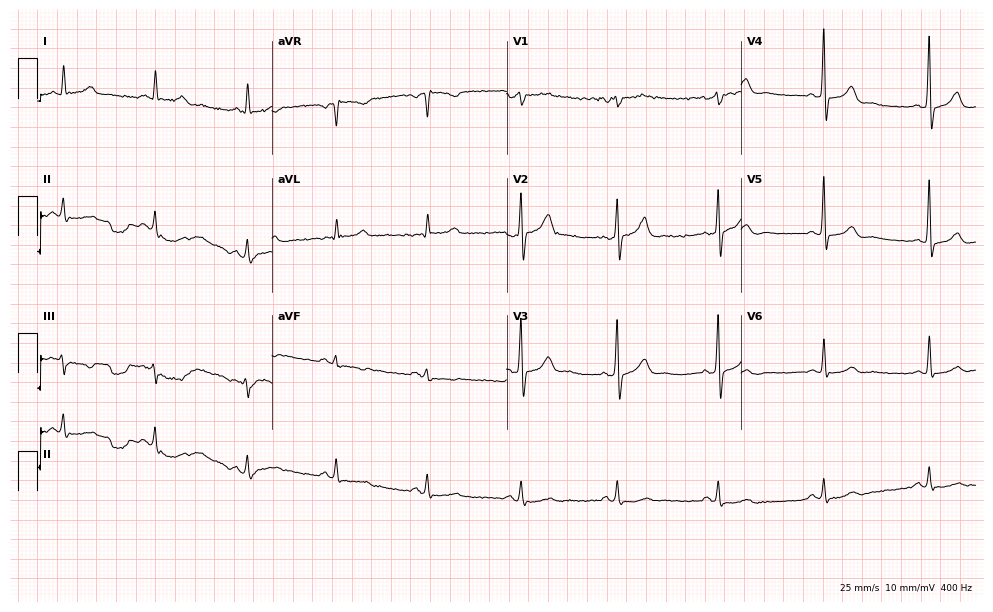
ECG (9.6-second recording at 400 Hz) — a man, 55 years old. Screened for six findings — first-degree AV block, right bundle branch block (RBBB), left bundle branch block (LBBB), sinus bradycardia, atrial fibrillation (AF), sinus tachycardia — none is recorded. Other findings, if any, are not listed.